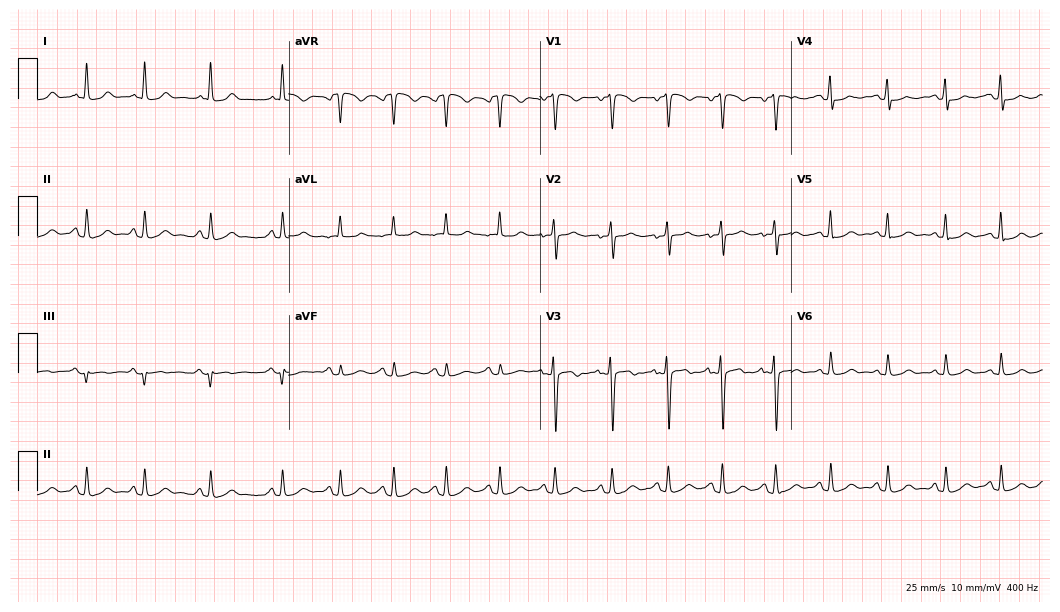
12-lead ECG (10.2-second recording at 400 Hz) from a woman, 39 years old. Findings include sinus tachycardia (a sinus rate of 100 beats per minute or more).